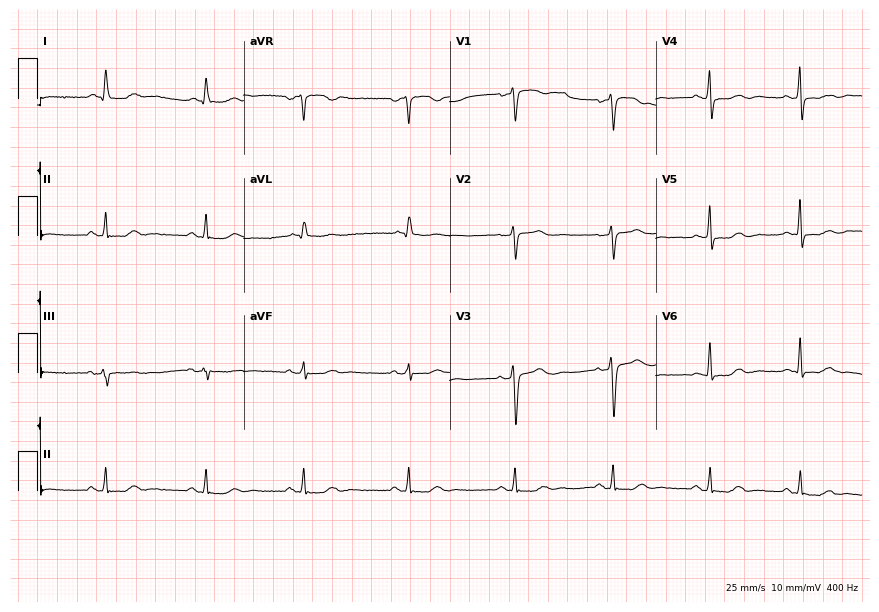
Standard 12-lead ECG recorded from a female patient, 59 years old (8.4-second recording at 400 Hz). None of these six findings is recorded: first-degree AV block, right bundle branch block, left bundle branch block, sinus bradycardia, atrial fibrillation, sinus tachycardia.